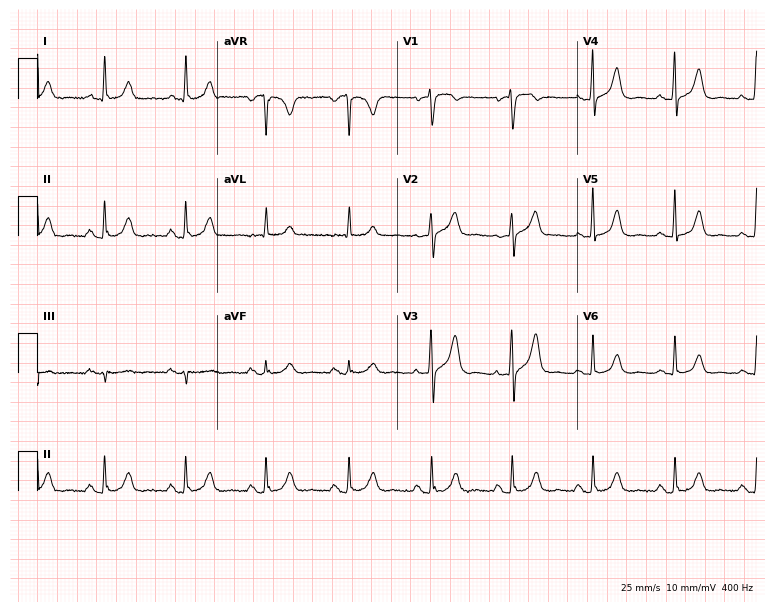
Electrocardiogram (7.3-second recording at 400 Hz), a woman, 76 years old. Overall reading on record: normal ECG.